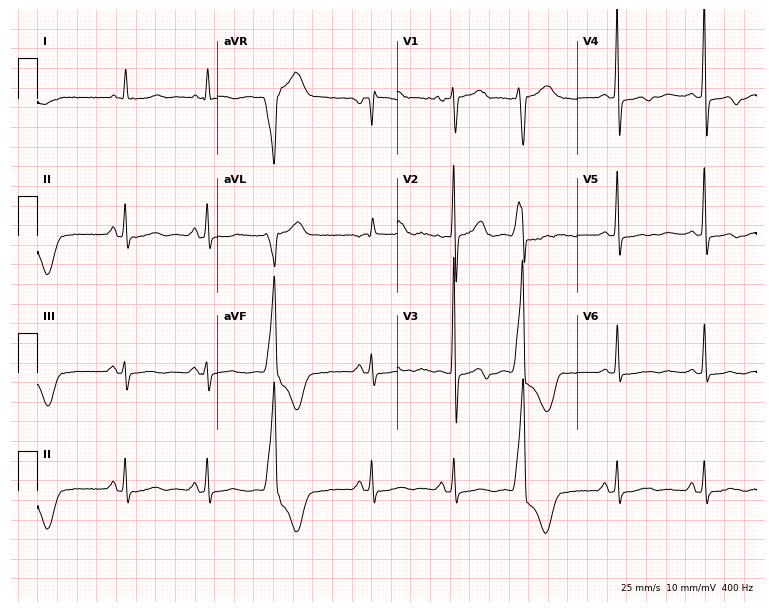
12-lead ECG from a woman, 73 years old. No first-degree AV block, right bundle branch block, left bundle branch block, sinus bradycardia, atrial fibrillation or sinus tachycardia recorded for this tracing.